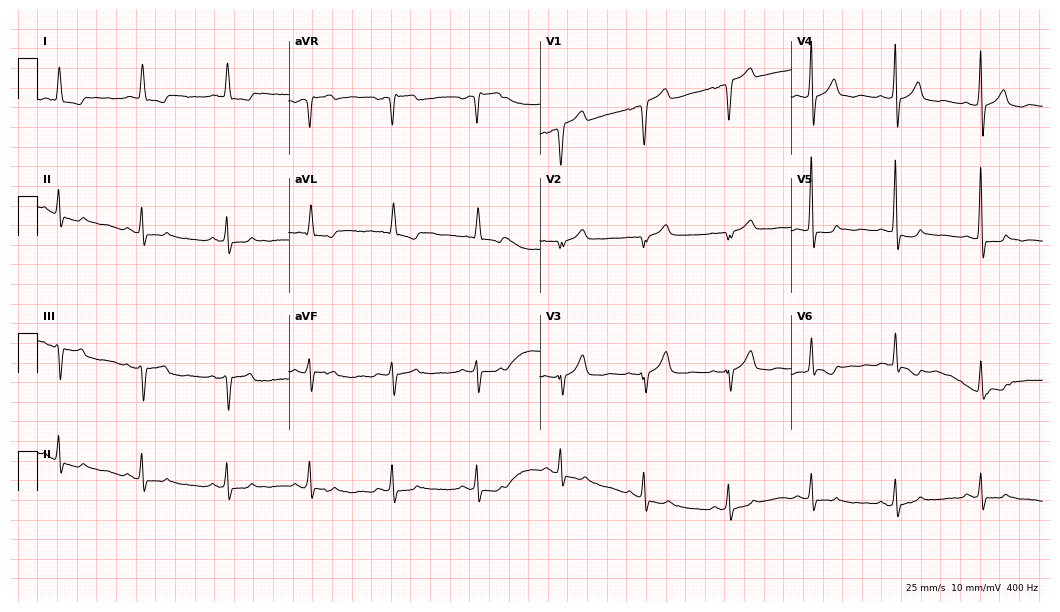
12-lead ECG from a 76-year-old woman. Labelled as a normal ECG.